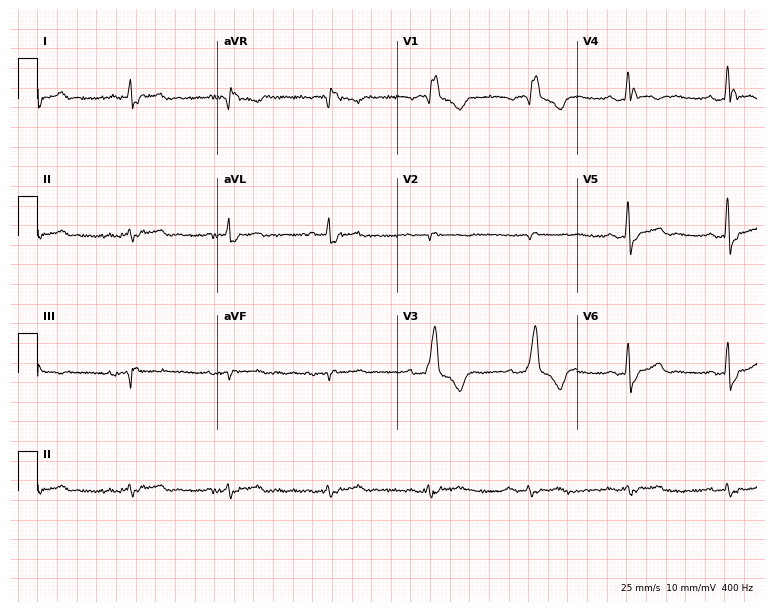
Resting 12-lead electrocardiogram (7.3-second recording at 400 Hz). Patient: a male, 57 years old. The tracing shows right bundle branch block (RBBB).